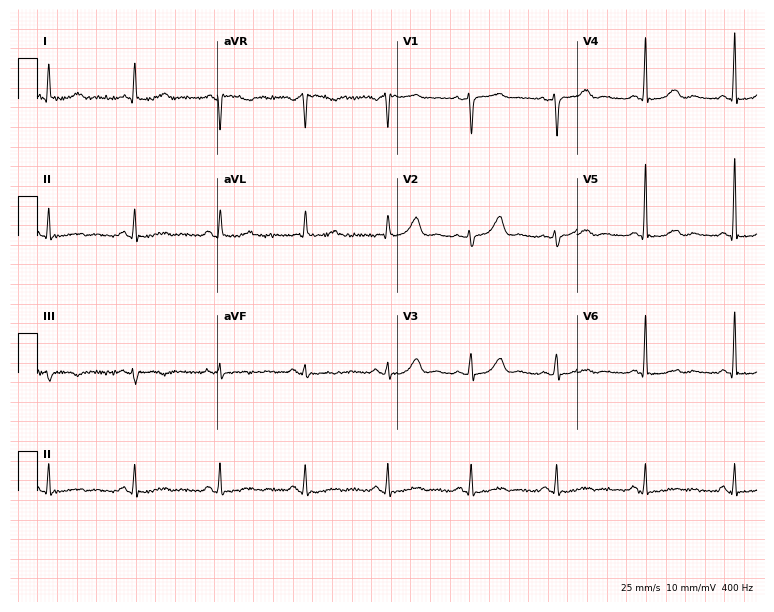
Standard 12-lead ECG recorded from a 57-year-old female. Read as a normal ECG.